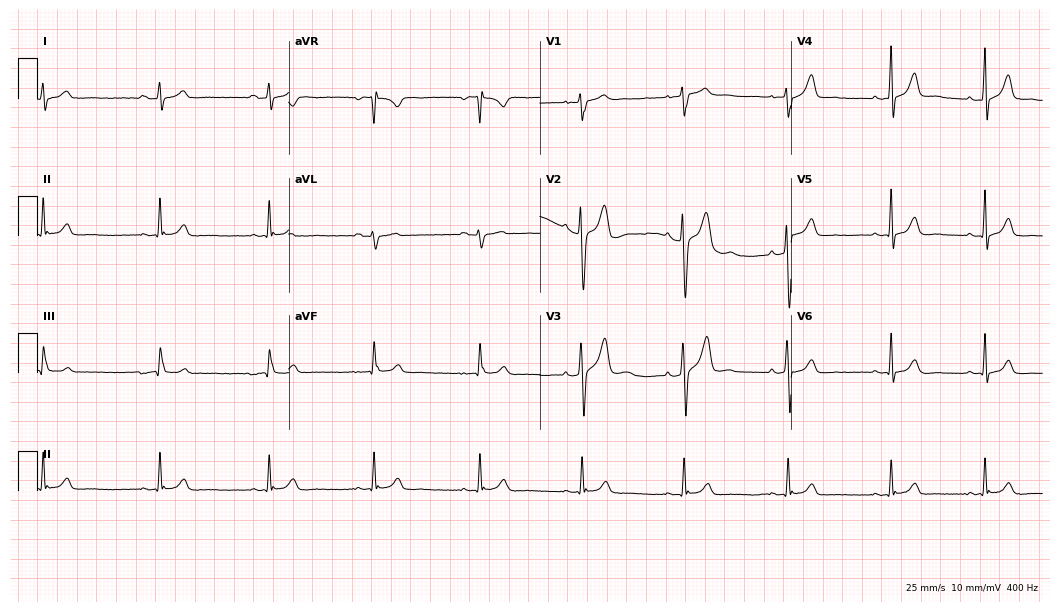
Standard 12-lead ECG recorded from a man, 22 years old. None of these six findings is recorded: first-degree AV block, right bundle branch block (RBBB), left bundle branch block (LBBB), sinus bradycardia, atrial fibrillation (AF), sinus tachycardia.